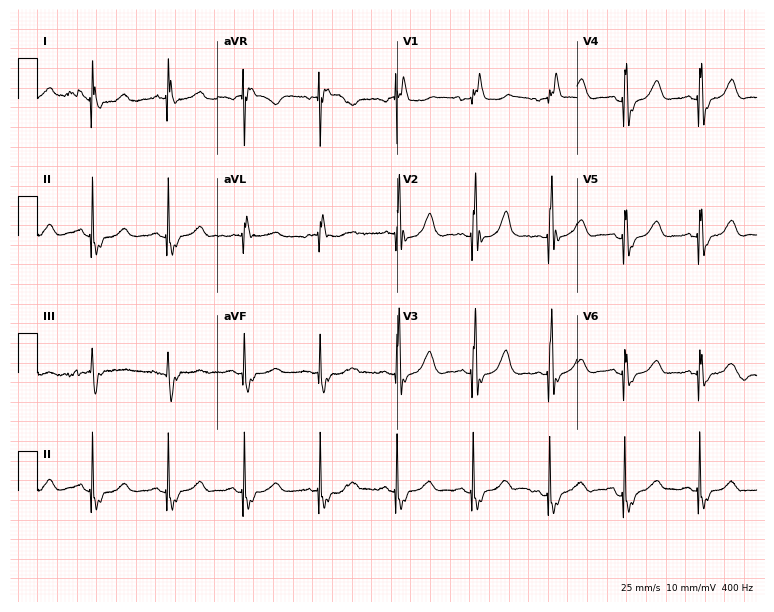
Resting 12-lead electrocardiogram (7.3-second recording at 400 Hz). Patient: a female, 81 years old. None of these six findings is recorded: first-degree AV block, right bundle branch block (RBBB), left bundle branch block (LBBB), sinus bradycardia, atrial fibrillation (AF), sinus tachycardia. Findings outside these six are not listed.